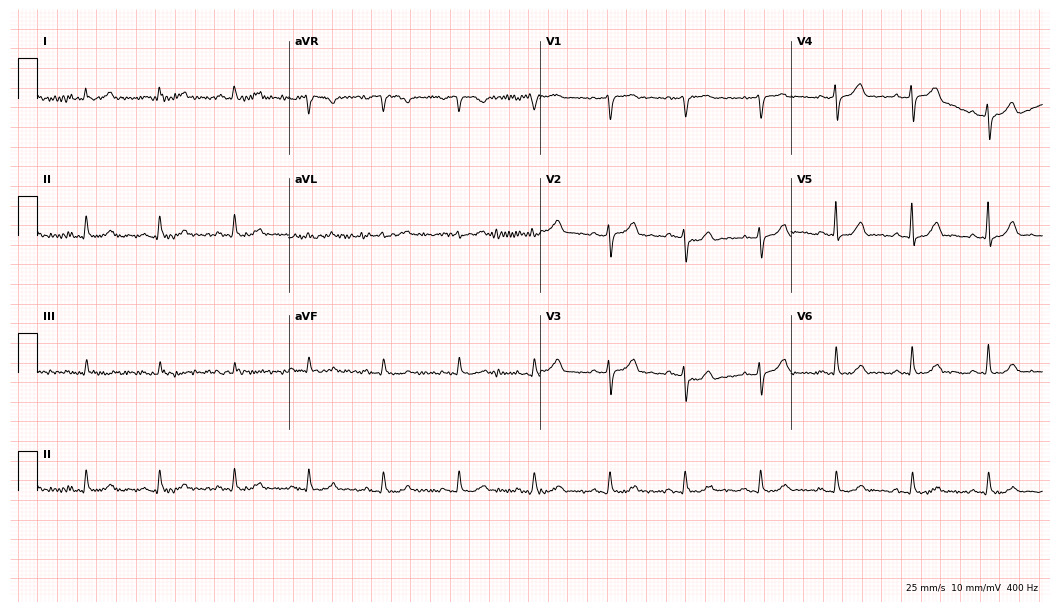
12-lead ECG from a male patient, 69 years old. Labelled as a normal ECG.